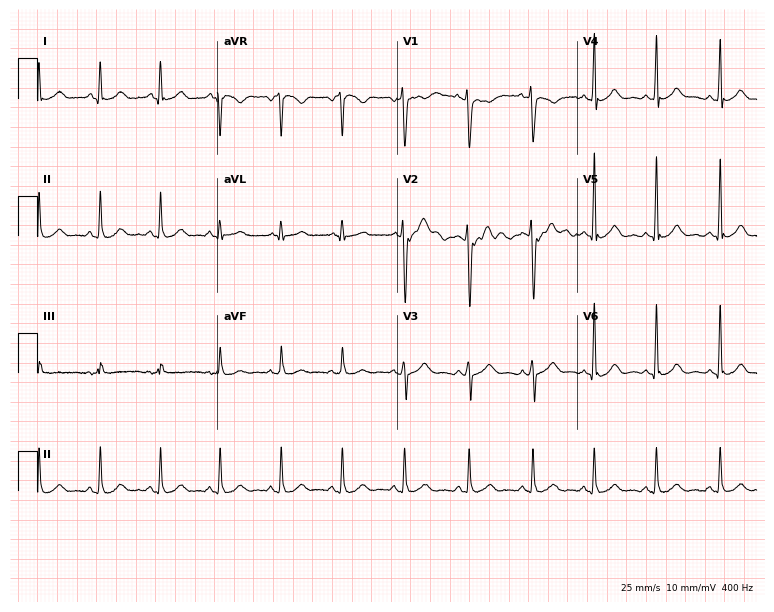
12-lead ECG from a female, 30 years old. No first-degree AV block, right bundle branch block (RBBB), left bundle branch block (LBBB), sinus bradycardia, atrial fibrillation (AF) or sinus tachycardia recorded for this tracing. Findings outside these six are not listed.